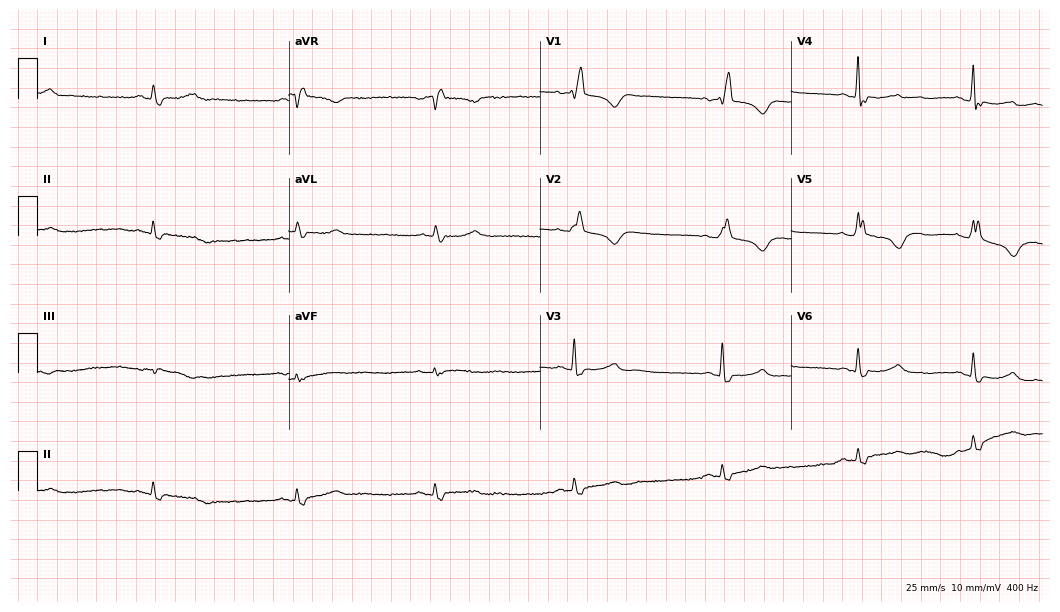
Resting 12-lead electrocardiogram (10.2-second recording at 400 Hz). Patient: a woman, 77 years old. None of these six findings is recorded: first-degree AV block, right bundle branch block, left bundle branch block, sinus bradycardia, atrial fibrillation, sinus tachycardia.